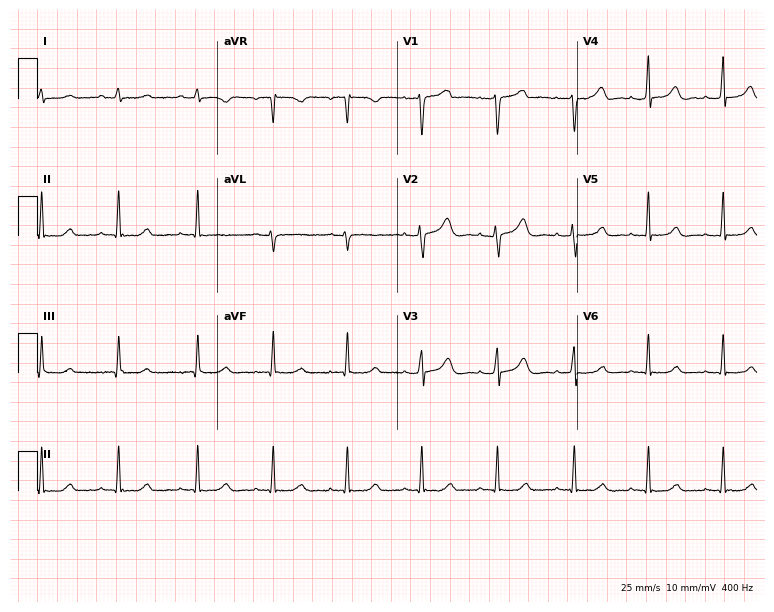
Resting 12-lead electrocardiogram (7.3-second recording at 400 Hz). Patient: a 27-year-old female. None of these six findings is recorded: first-degree AV block, right bundle branch block (RBBB), left bundle branch block (LBBB), sinus bradycardia, atrial fibrillation (AF), sinus tachycardia. Only these six findings were labelled.